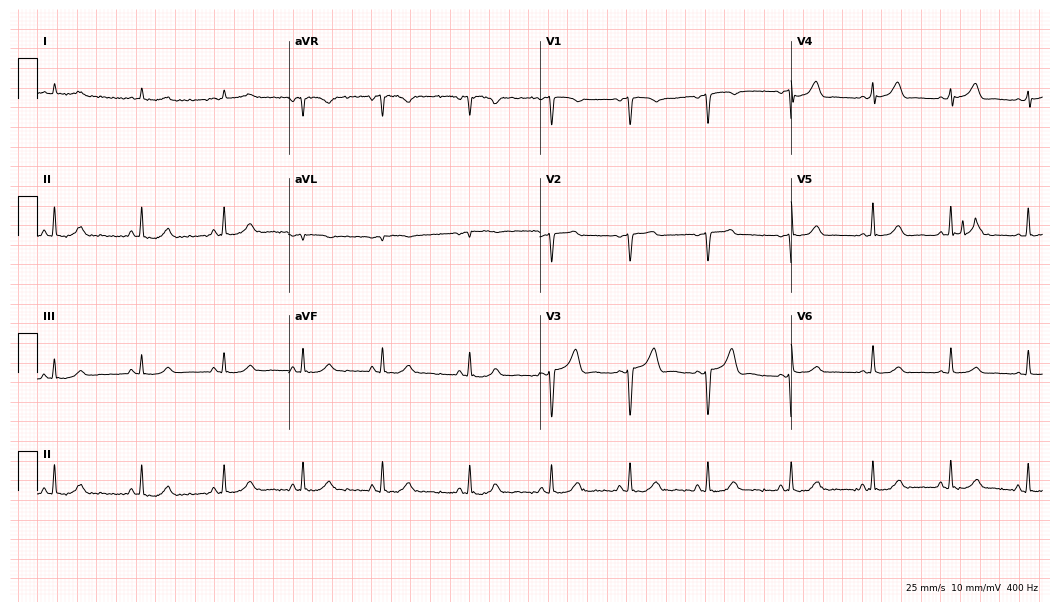
12-lead ECG (10.2-second recording at 400 Hz) from a male, 55 years old. Labelled as a normal ECG.